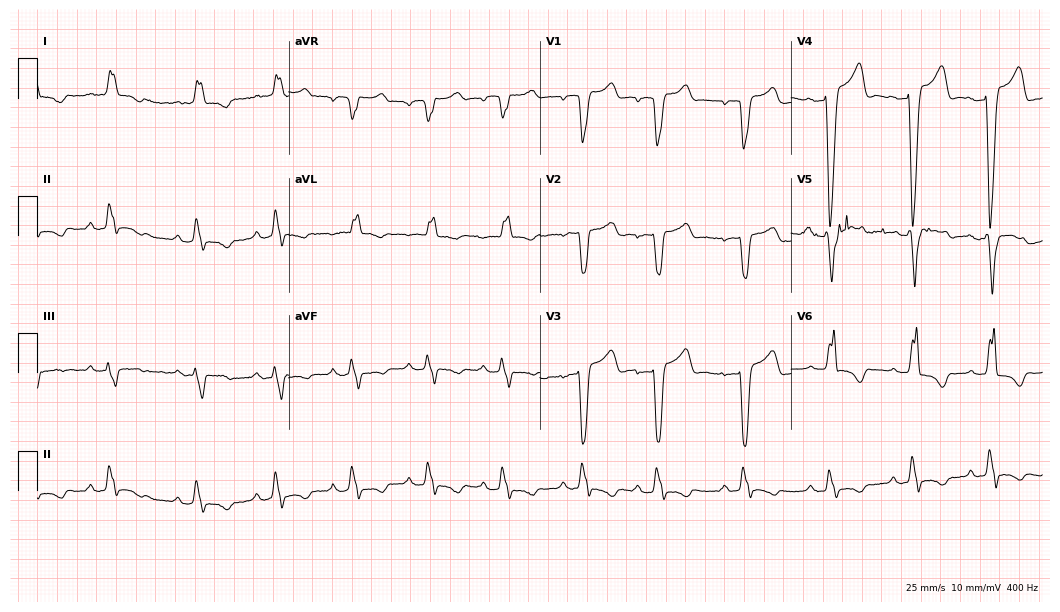
12-lead ECG (10.2-second recording at 400 Hz) from a female, 80 years old. Findings include left bundle branch block.